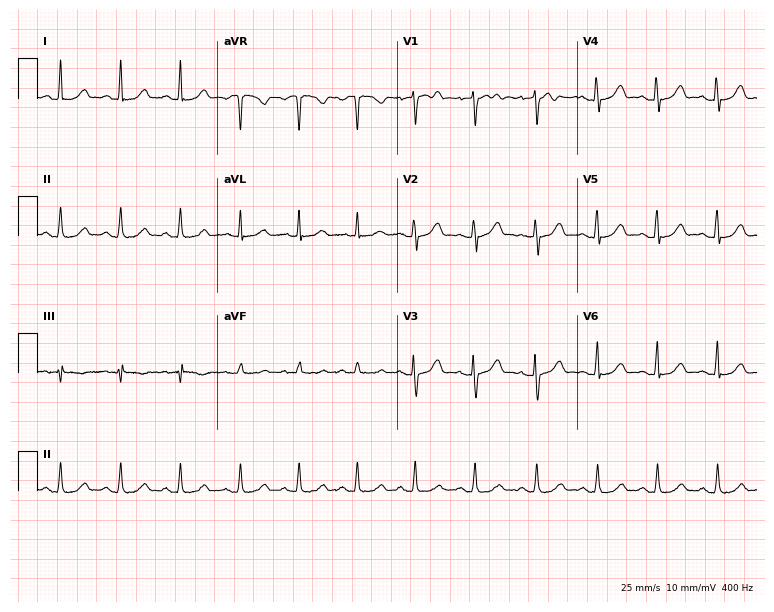
ECG (7.3-second recording at 400 Hz) — a female, 34 years old. Labelled as a normal ECG.